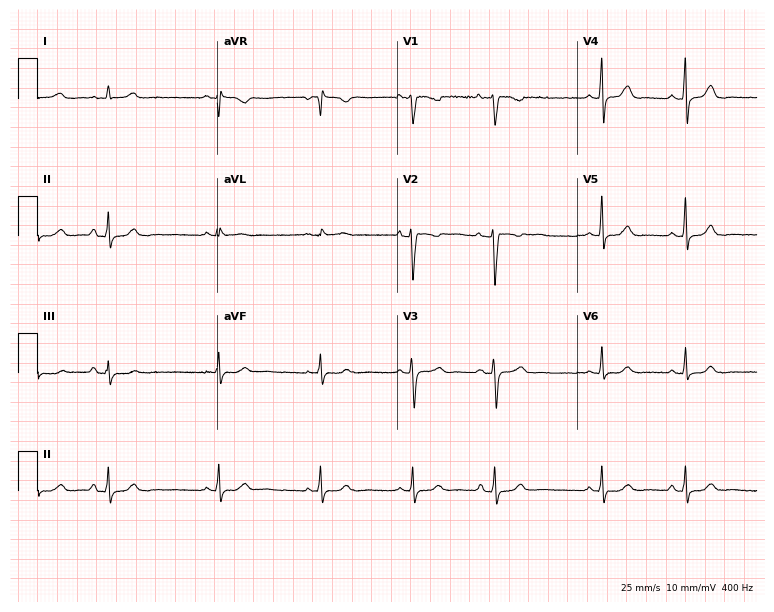
12-lead ECG from a female, 26 years old (7.3-second recording at 400 Hz). Recorded interpretation: within normal limits.